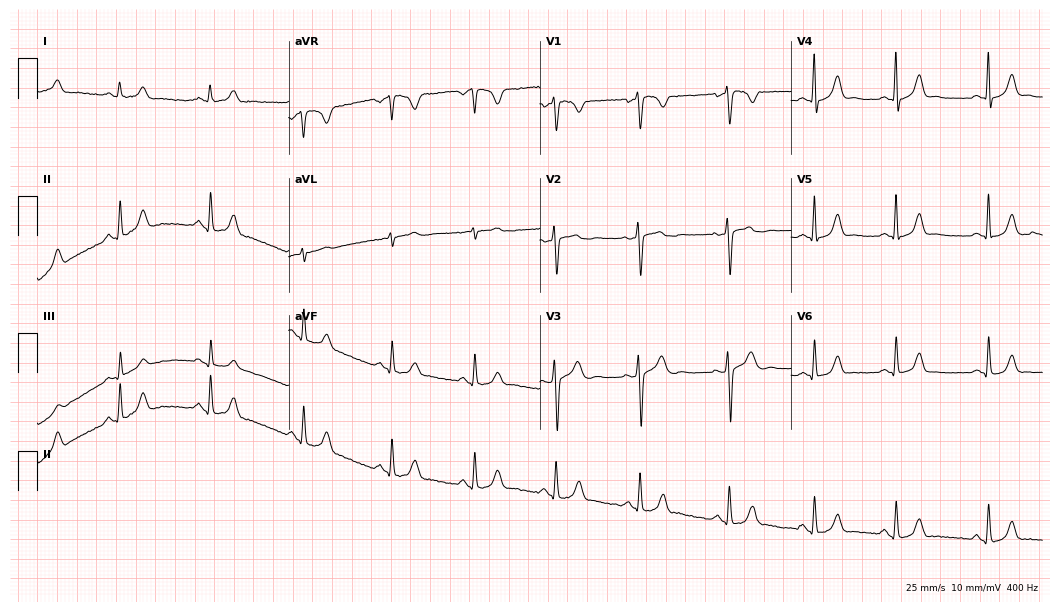
ECG (10.2-second recording at 400 Hz) — a woman, 19 years old. Screened for six findings — first-degree AV block, right bundle branch block, left bundle branch block, sinus bradycardia, atrial fibrillation, sinus tachycardia — none is recorded.